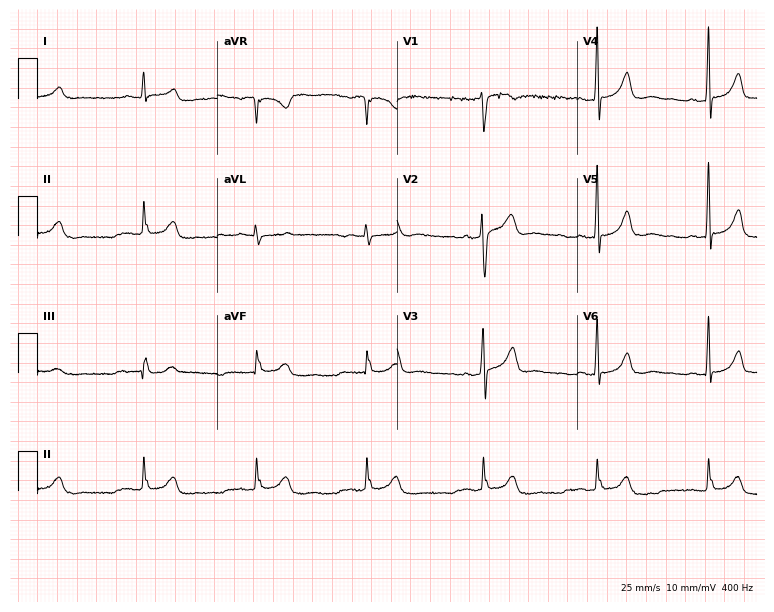
12-lead ECG from a male, 47 years old. Labelled as a normal ECG.